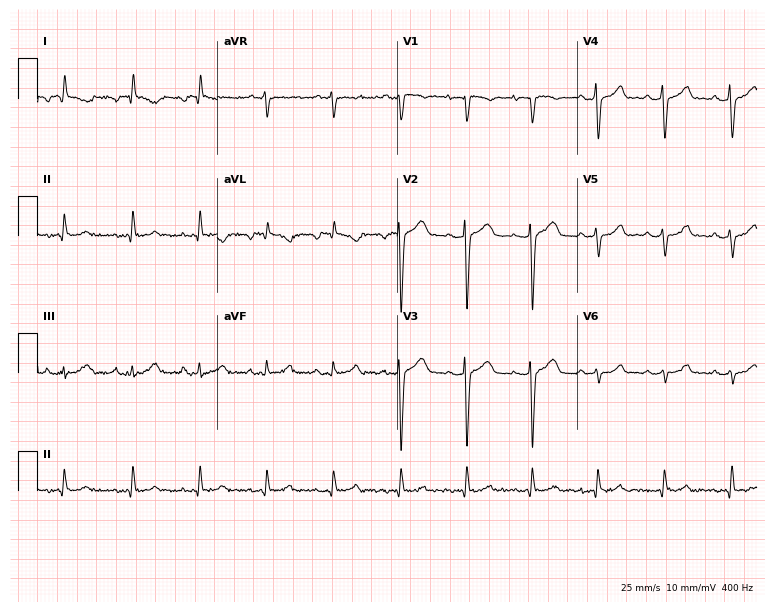
12-lead ECG (7.3-second recording at 400 Hz) from a male, 40 years old. Screened for six findings — first-degree AV block, right bundle branch block, left bundle branch block, sinus bradycardia, atrial fibrillation, sinus tachycardia — none is recorded. Only these six findings were labelled.